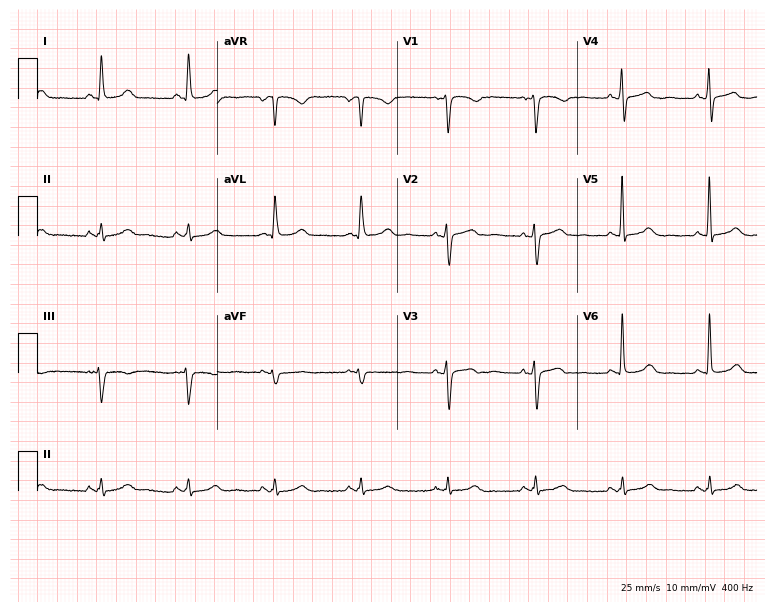
Resting 12-lead electrocardiogram (7.3-second recording at 400 Hz). Patient: a 65-year-old woman. Read as a normal ECG.